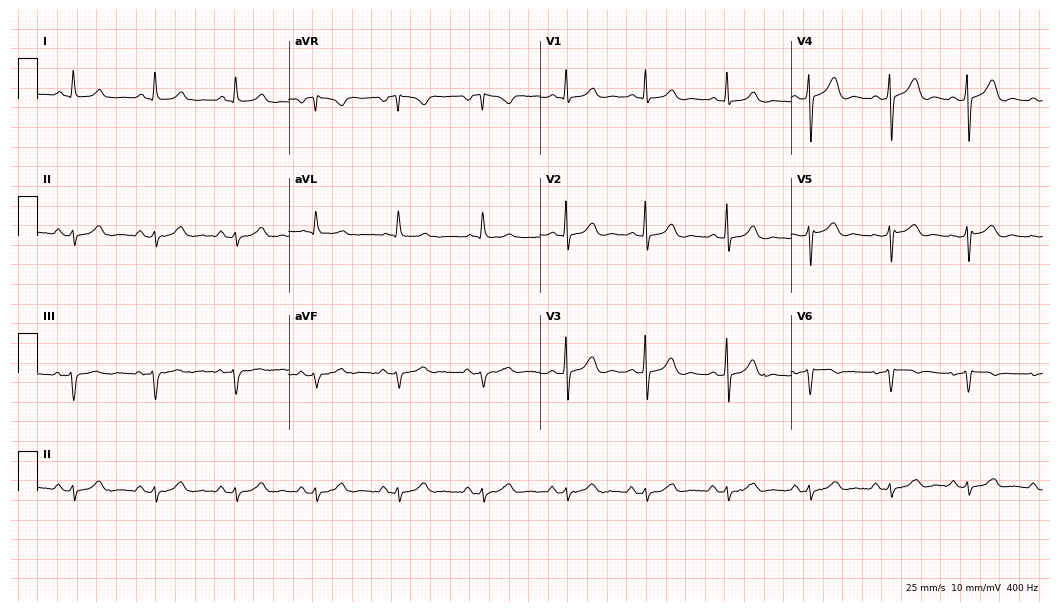
Electrocardiogram (10.2-second recording at 400 Hz), a woman, 39 years old. Of the six screened findings (first-degree AV block, right bundle branch block, left bundle branch block, sinus bradycardia, atrial fibrillation, sinus tachycardia), none is recorded.